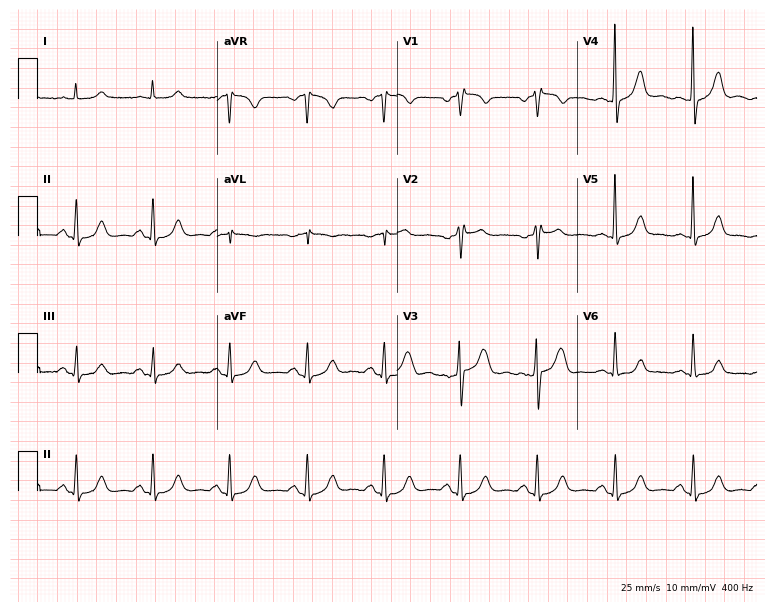
Electrocardiogram, an 84-year-old male. Of the six screened findings (first-degree AV block, right bundle branch block, left bundle branch block, sinus bradycardia, atrial fibrillation, sinus tachycardia), none is recorded.